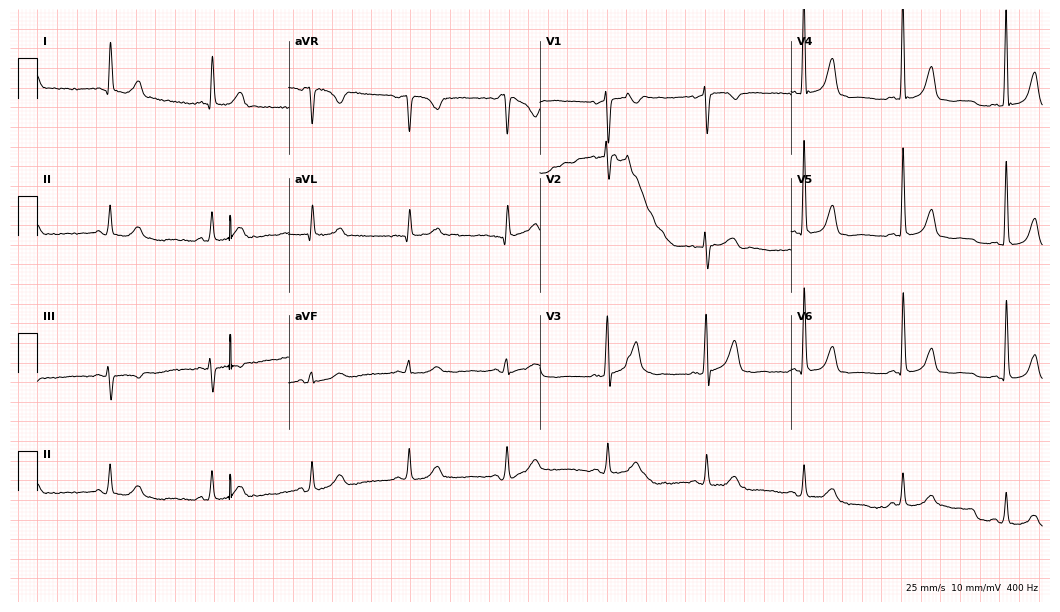
12-lead ECG from a 69-year-old woman (10.2-second recording at 400 Hz). Recorded interpretation: within normal limits.